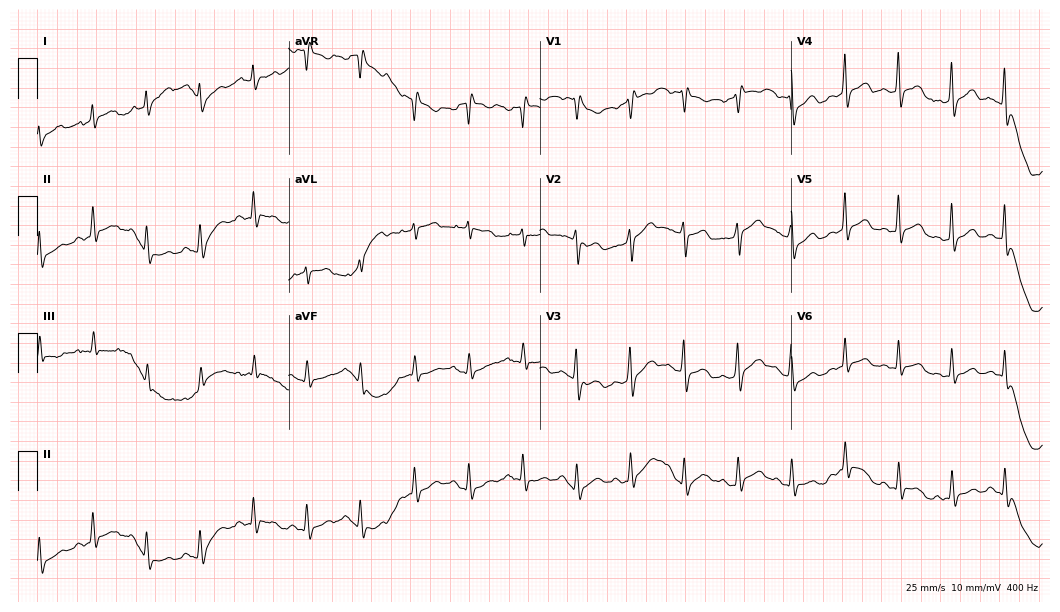
Electrocardiogram, a 39-year-old female patient. Interpretation includes sinus tachycardia (a sinus rate of 100 beats per minute or more).